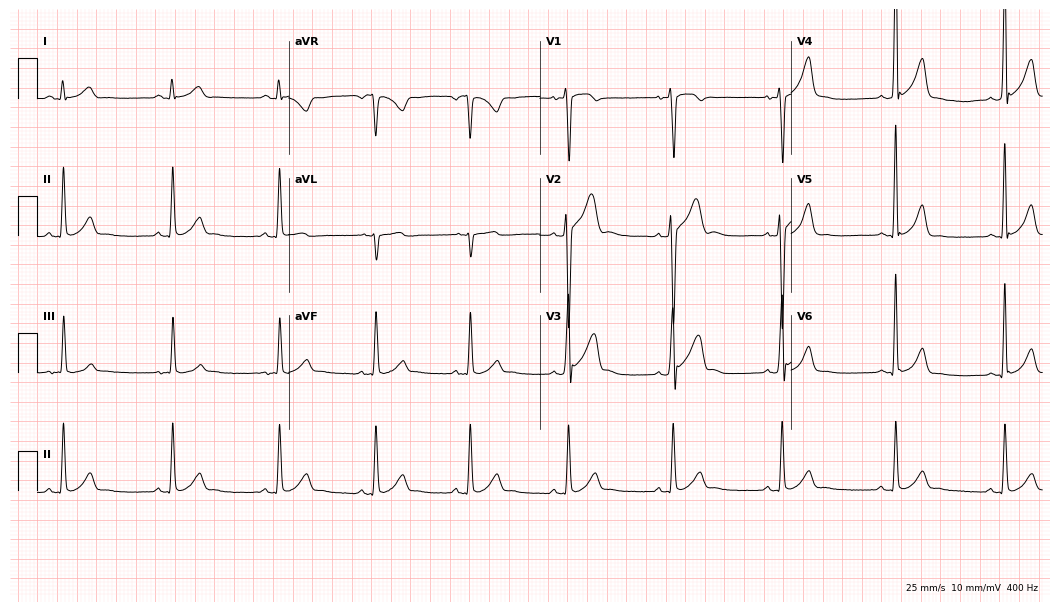
Standard 12-lead ECG recorded from a man, 21 years old (10.2-second recording at 400 Hz). Read as a normal ECG.